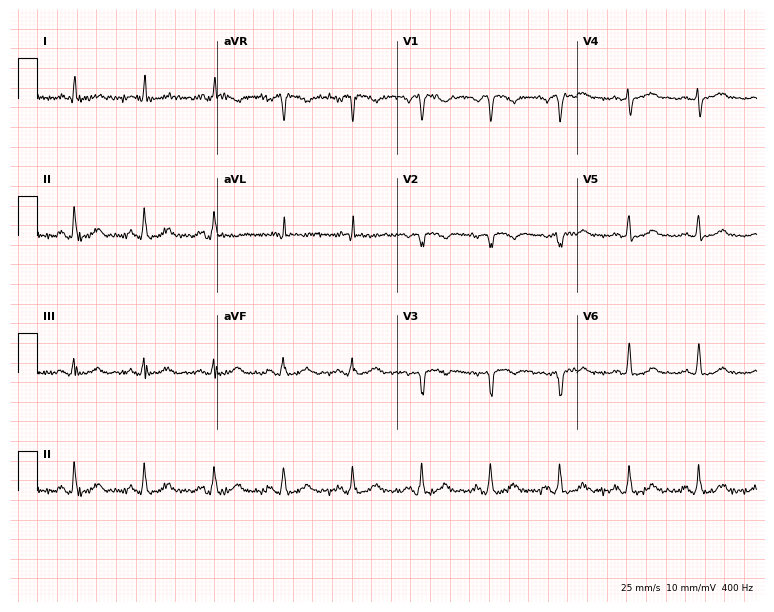
12-lead ECG from a 64-year-old male patient. Screened for six findings — first-degree AV block, right bundle branch block, left bundle branch block, sinus bradycardia, atrial fibrillation, sinus tachycardia — none is recorded.